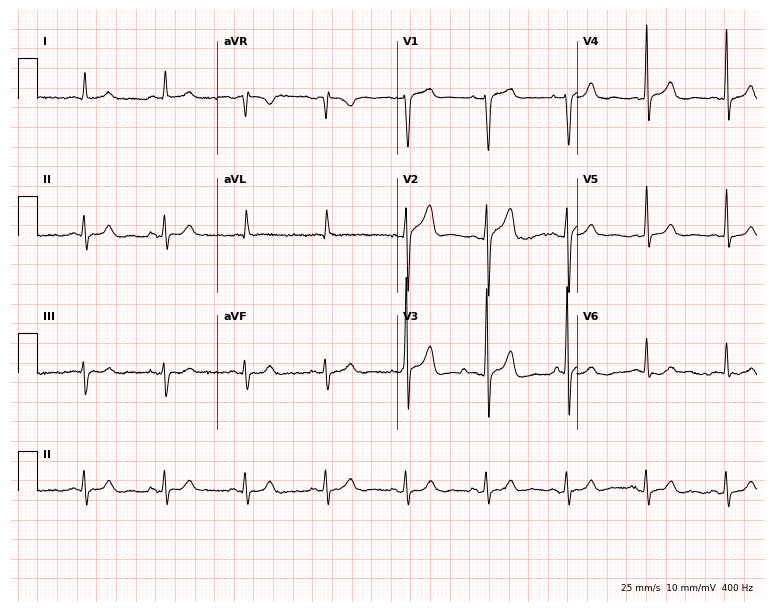
Electrocardiogram (7.3-second recording at 400 Hz), a man, 85 years old. Overall reading on record: normal ECG.